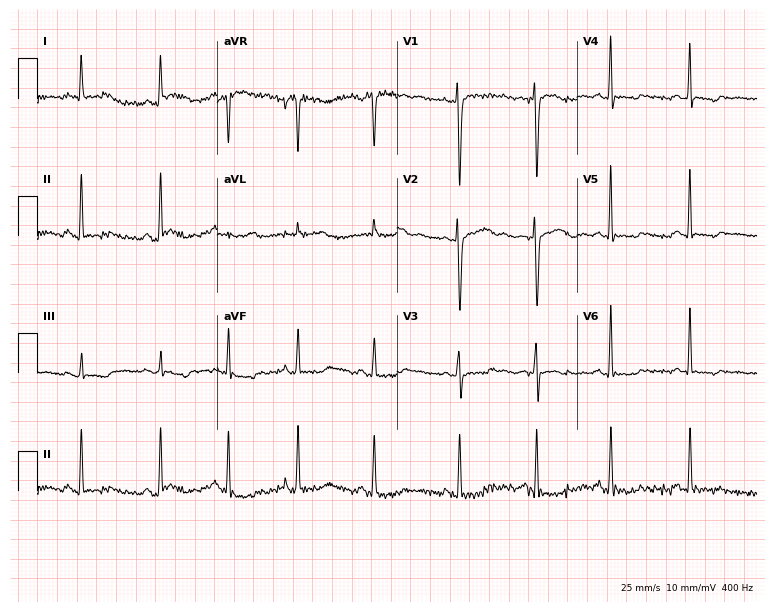
ECG — a female, 37 years old. Screened for six findings — first-degree AV block, right bundle branch block (RBBB), left bundle branch block (LBBB), sinus bradycardia, atrial fibrillation (AF), sinus tachycardia — none is recorded.